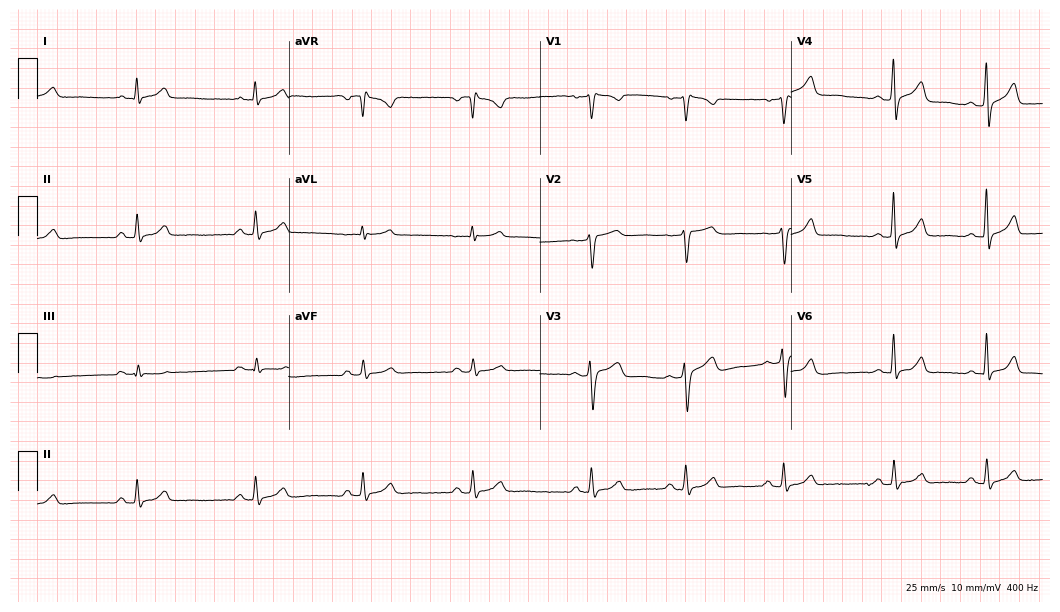
Electrocardiogram (10.2-second recording at 400 Hz), a 50-year-old female. Overall reading on record: normal ECG.